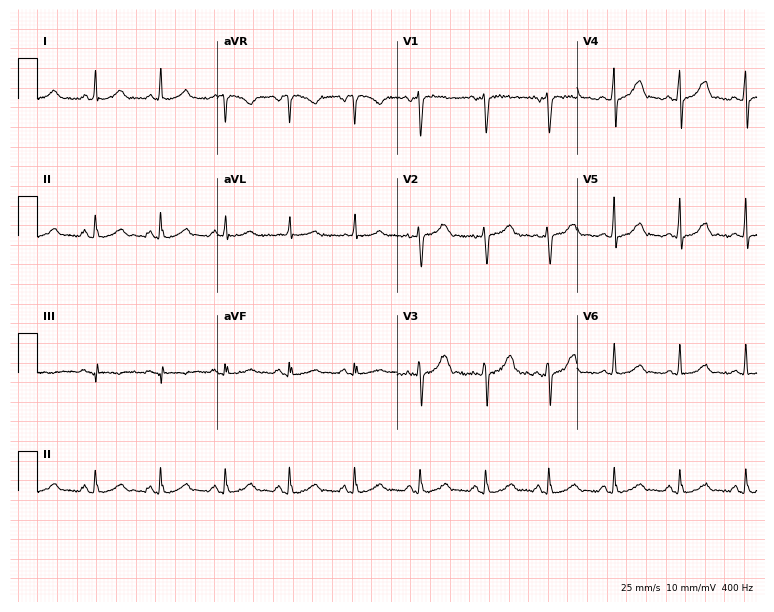
12-lead ECG (7.3-second recording at 400 Hz) from a woman, 28 years old. Labelled as a normal ECG.